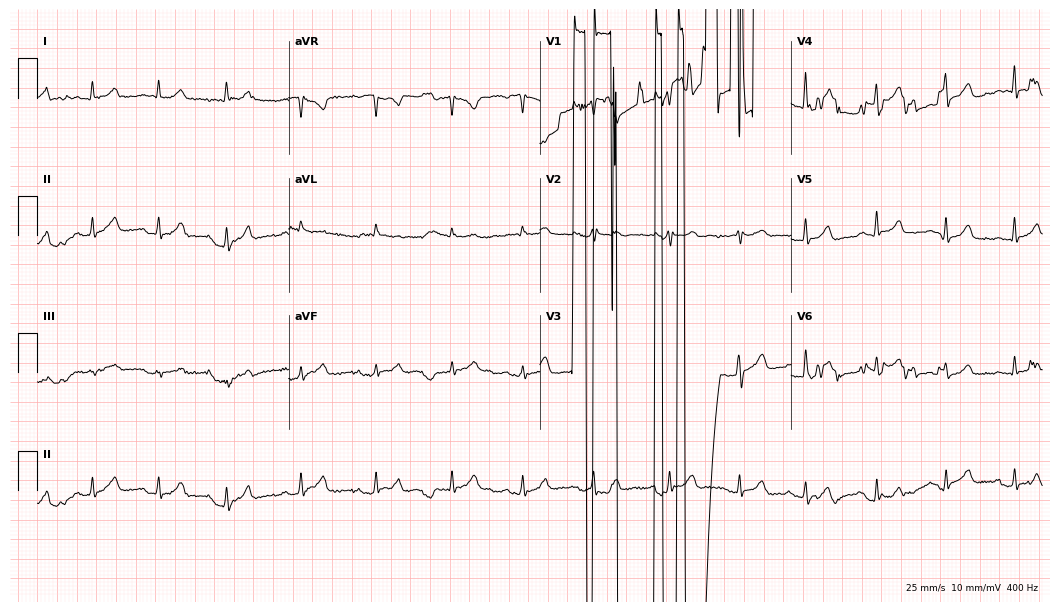
Resting 12-lead electrocardiogram. Patient: a 22-year-old female. None of these six findings is recorded: first-degree AV block, right bundle branch block (RBBB), left bundle branch block (LBBB), sinus bradycardia, atrial fibrillation (AF), sinus tachycardia. Only these six findings were labelled.